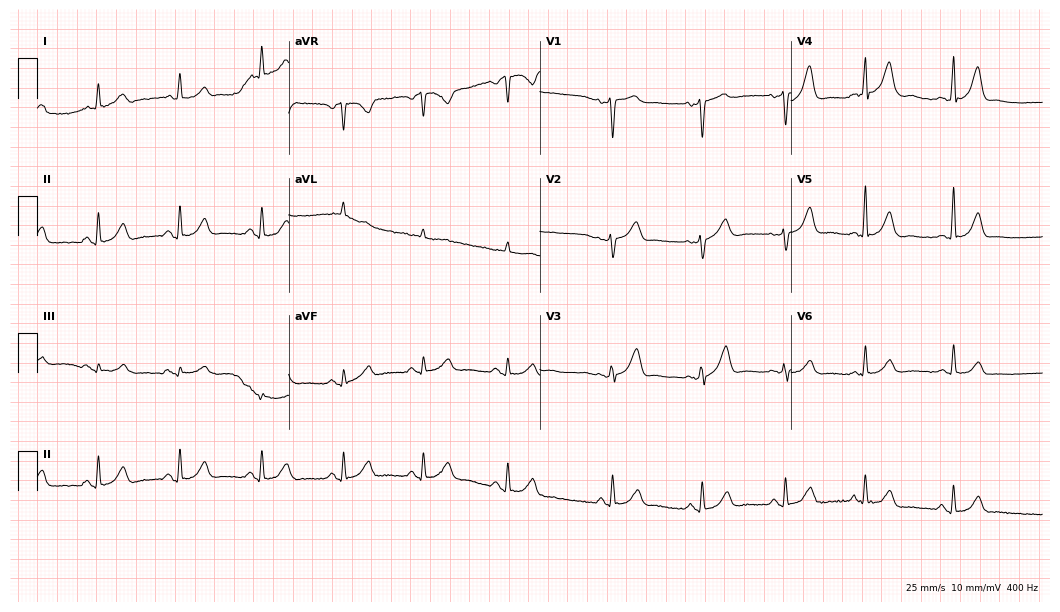
12-lead ECG (10.2-second recording at 400 Hz) from a 49-year-old woman. Labelled as a normal ECG.